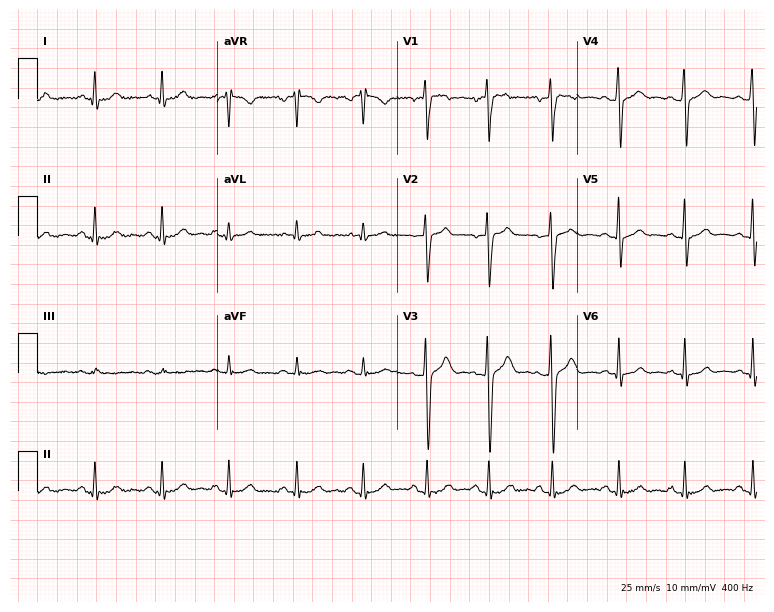
ECG — a 24-year-old male. Screened for six findings — first-degree AV block, right bundle branch block, left bundle branch block, sinus bradycardia, atrial fibrillation, sinus tachycardia — none is recorded. Other findings, if any, are not listed.